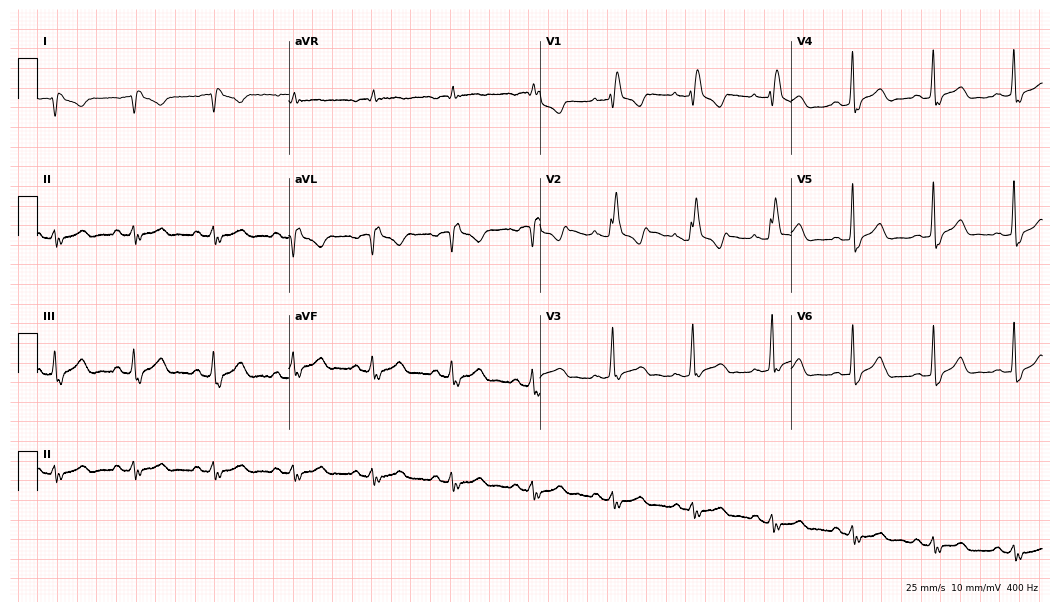
ECG — a 47-year-old male patient. Screened for six findings — first-degree AV block, right bundle branch block, left bundle branch block, sinus bradycardia, atrial fibrillation, sinus tachycardia — none is recorded.